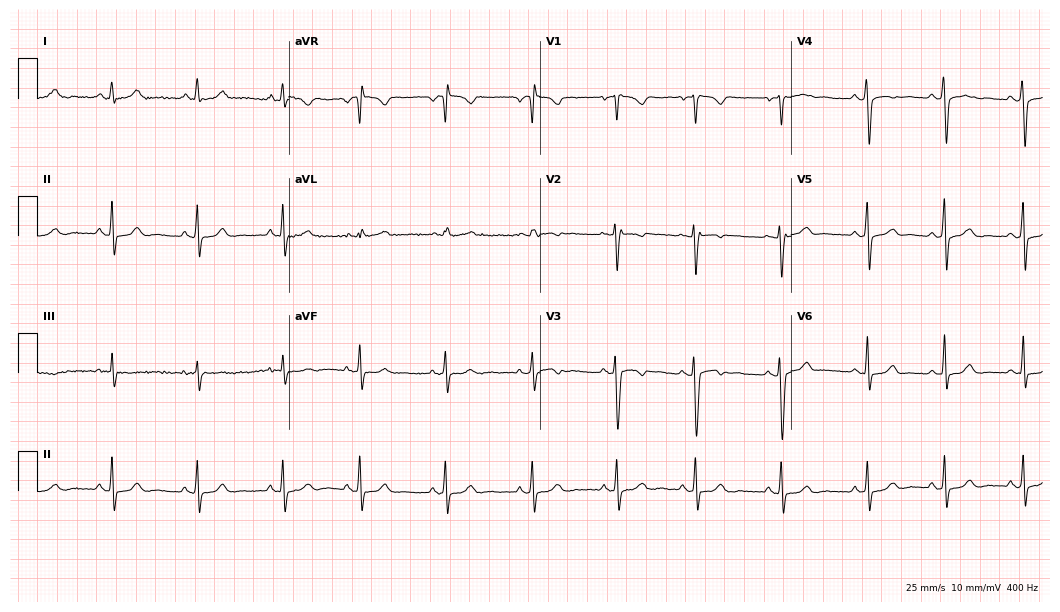
12-lead ECG from a 27-year-old female (10.2-second recording at 400 Hz). No first-degree AV block, right bundle branch block, left bundle branch block, sinus bradycardia, atrial fibrillation or sinus tachycardia recorded for this tracing.